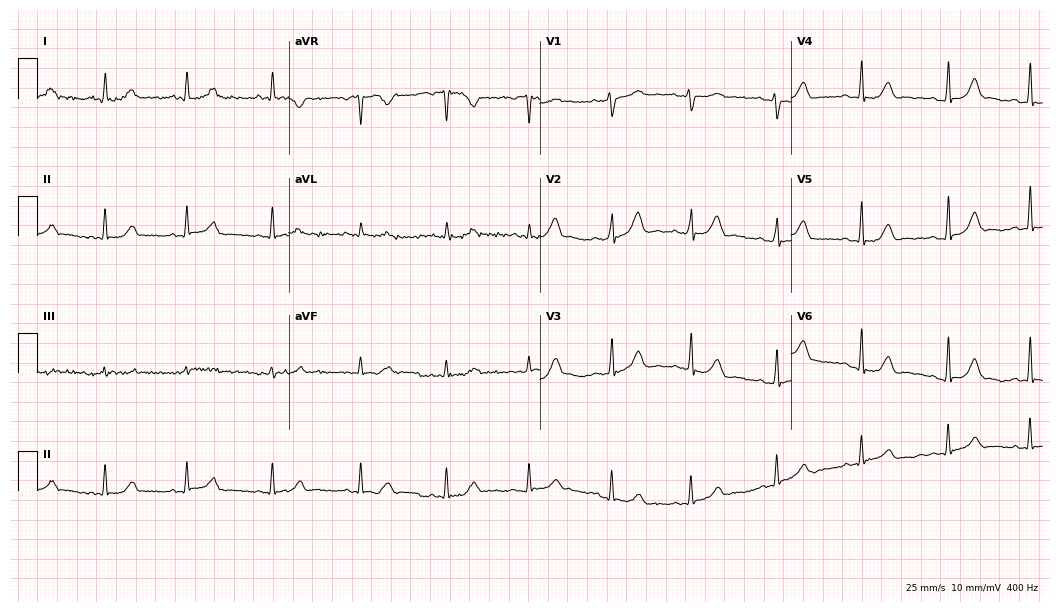
12-lead ECG from a 39-year-old female. Screened for six findings — first-degree AV block, right bundle branch block, left bundle branch block, sinus bradycardia, atrial fibrillation, sinus tachycardia — none is recorded.